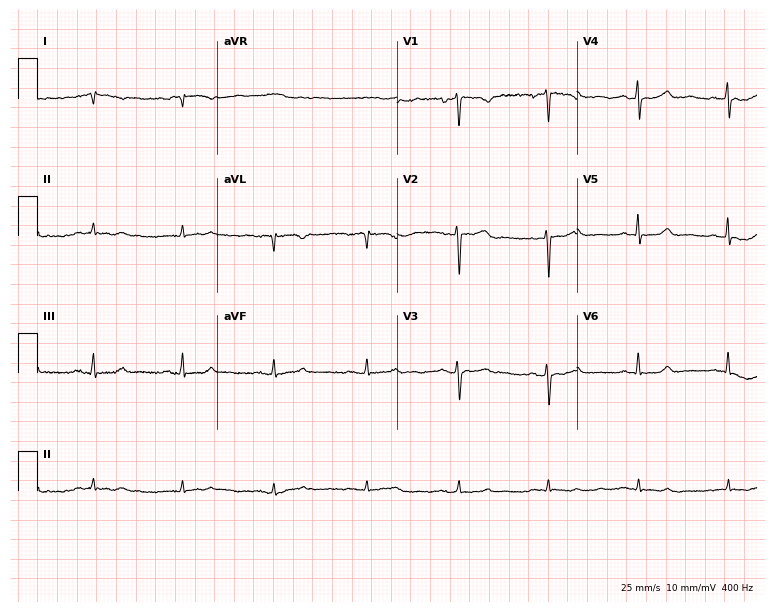
12-lead ECG (7.3-second recording at 400 Hz) from a 44-year-old female patient. Screened for six findings — first-degree AV block, right bundle branch block, left bundle branch block, sinus bradycardia, atrial fibrillation, sinus tachycardia — none is recorded.